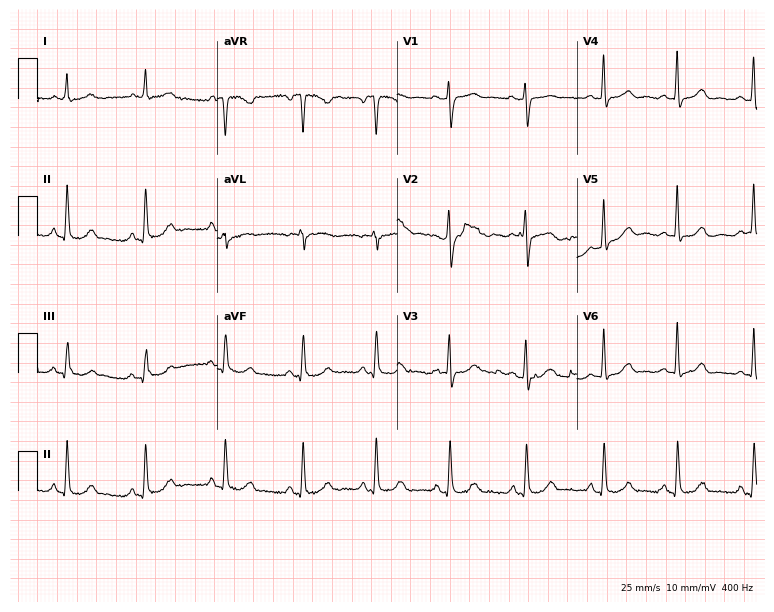
Resting 12-lead electrocardiogram (7.3-second recording at 400 Hz). Patient: a 40-year-old woman. Read as a normal ECG.